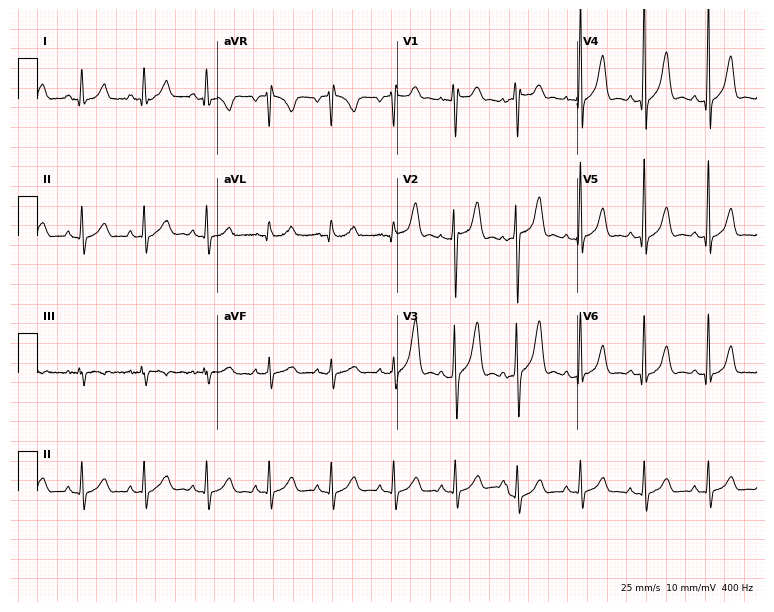
Standard 12-lead ECG recorded from a 39-year-old male patient. None of these six findings is recorded: first-degree AV block, right bundle branch block (RBBB), left bundle branch block (LBBB), sinus bradycardia, atrial fibrillation (AF), sinus tachycardia. Only these six findings were labelled.